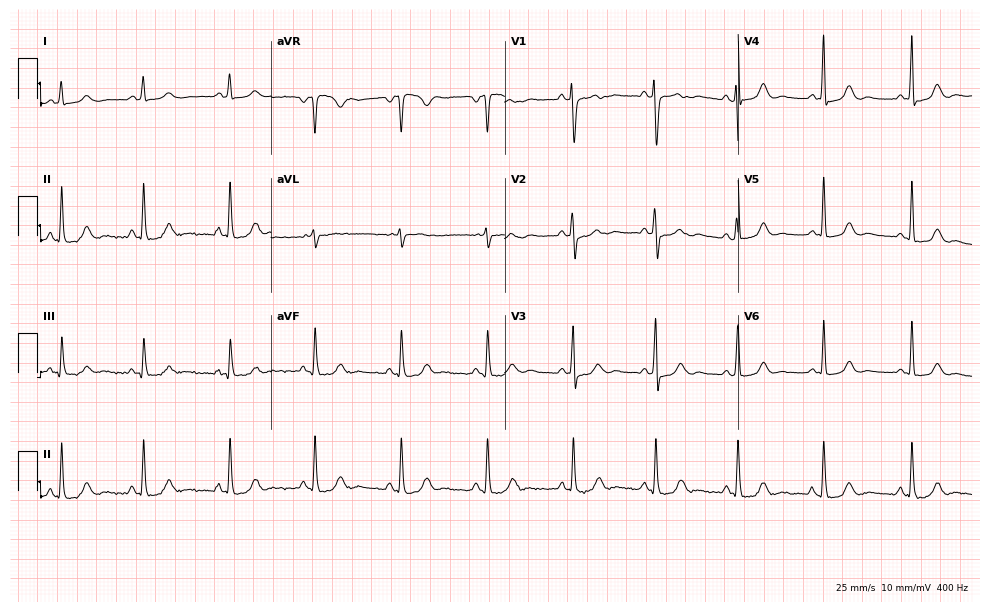
Electrocardiogram (9.5-second recording at 400 Hz), a woman, 50 years old. Overall reading on record: normal ECG.